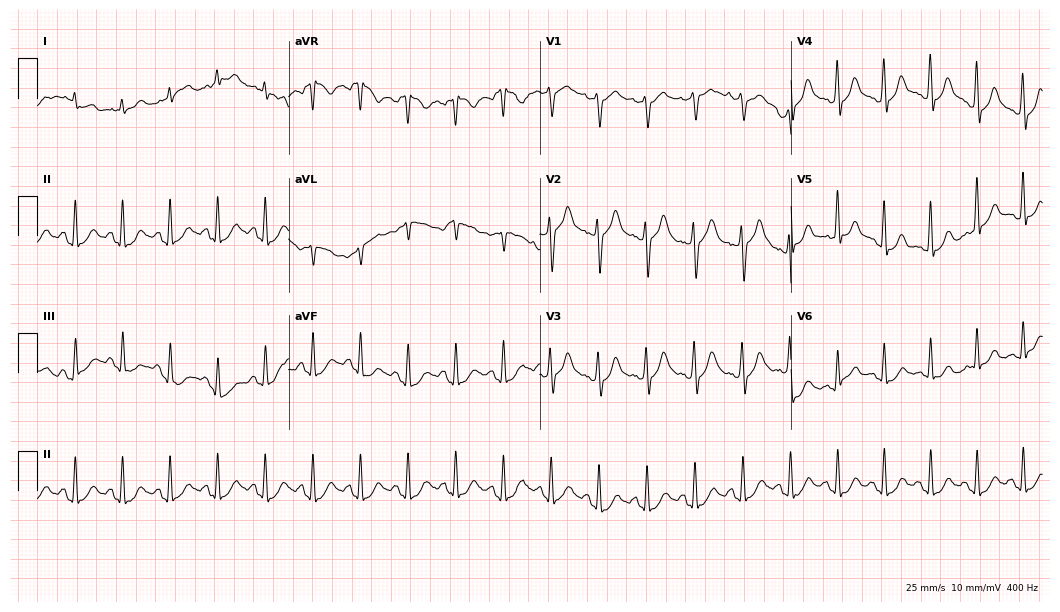
12-lead ECG (10.2-second recording at 400 Hz) from a 59-year-old male. Findings include sinus tachycardia (a sinus rate of 100 beats per minute or more).